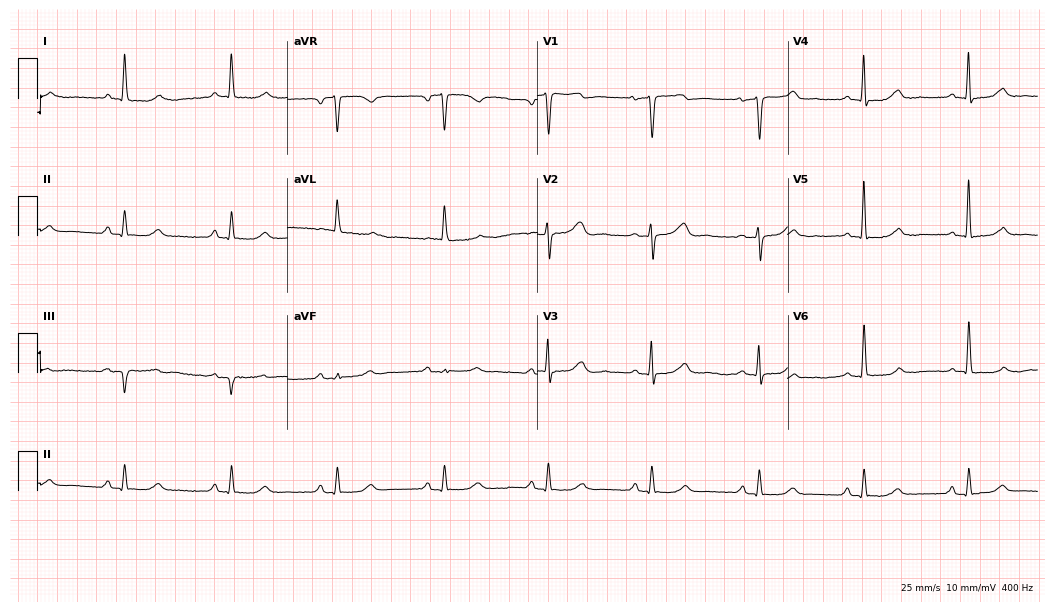
12-lead ECG from an 83-year-old woman. Recorded interpretation: within normal limits.